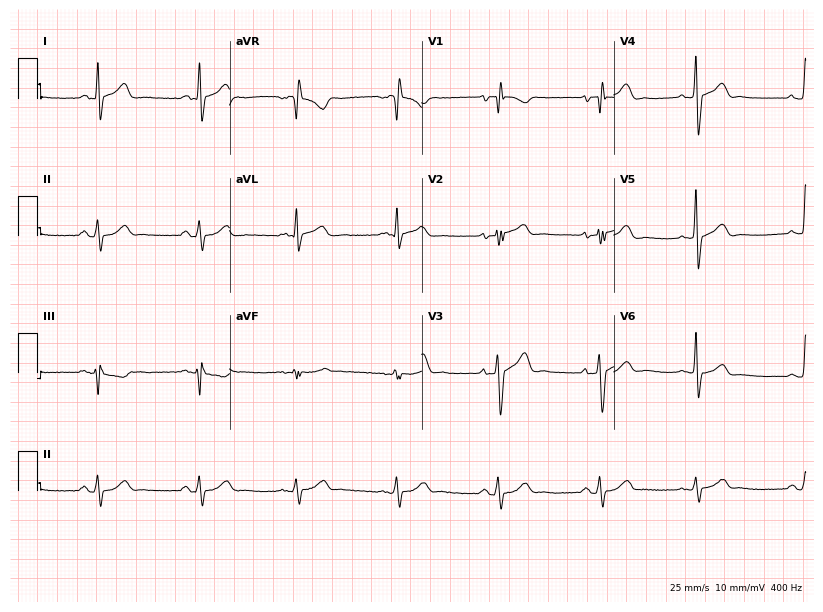
12-lead ECG (7.8-second recording at 400 Hz) from a male, 54 years old. Labelled as a normal ECG.